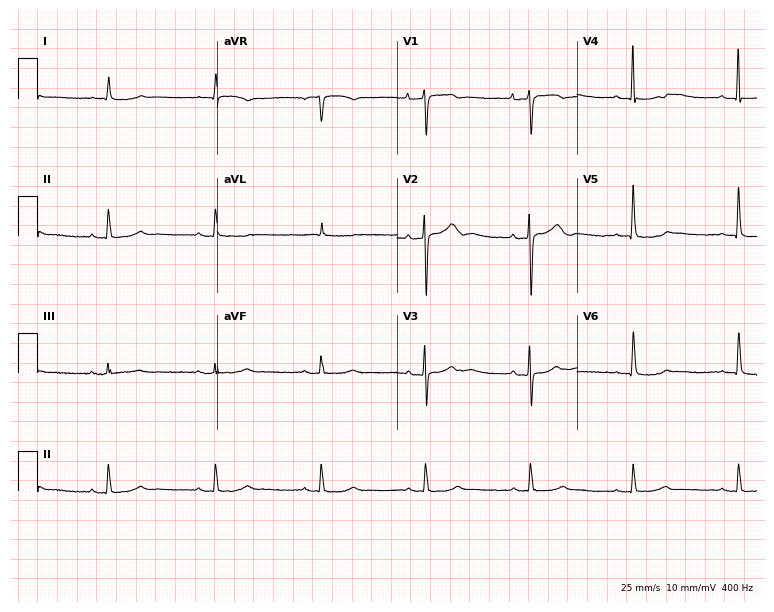
12-lead ECG (7.3-second recording at 400 Hz) from a female, 79 years old. Screened for six findings — first-degree AV block, right bundle branch block, left bundle branch block, sinus bradycardia, atrial fibrillation, sinus tachycardia — none is recorded.